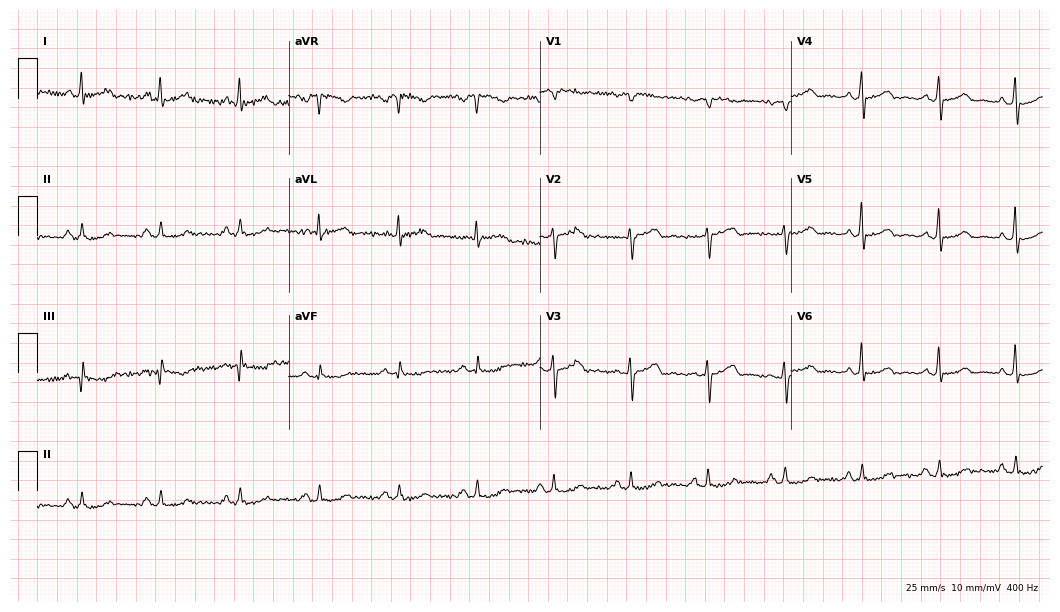
Standard 12-lead ECG recorded from a 60-year-old female. None of these six findings is recorded: first-degree AV block, right bundle branch block (RBBB), left bundle branch block (LBBB), sinus bradycardia, atrial fibrillation (AF), sinus tachycardia. Other findings, if any, are not listed.